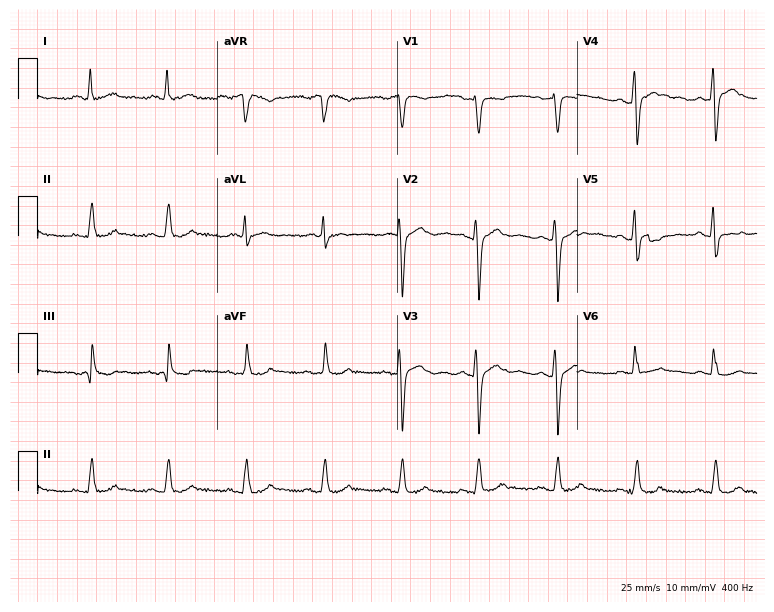
Standard 12-lead ECG recorded from a male patient, 61 years old (7.3-second recording at 400 Hz). None of these six findings is recorded: first-degree AV block, right bundle branch block (RBBB), left bundle branch block (LBBB), sinus bradycardia, atrial fibrillation (AF), sinus tachycardia. Other findings, if any, are not listed.